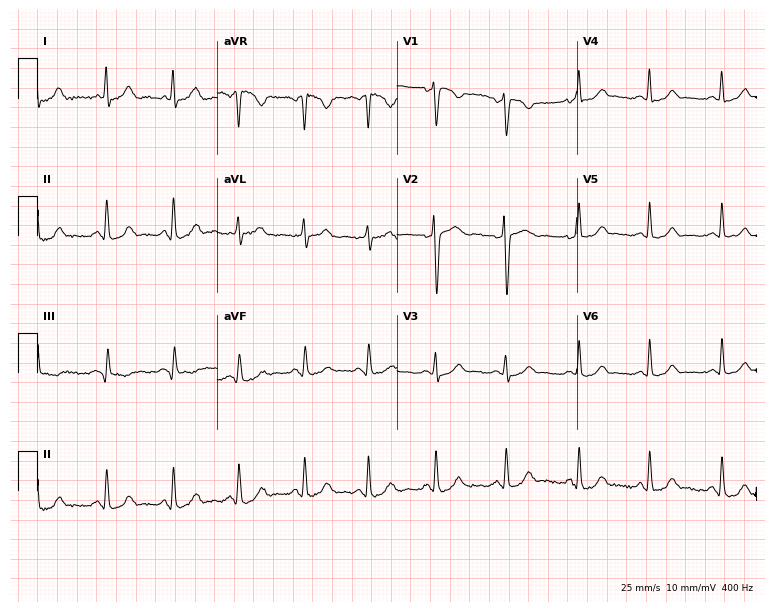
12-lead ECG (7.3-second recording at 400 Hz) from a woman, 30 years old. Screened for six findings — first-degree AV block, right bundle branch block, left bundle branch block, sinus bradycardia, atrial fibrillation, sinus tachycardia — none is recorded.